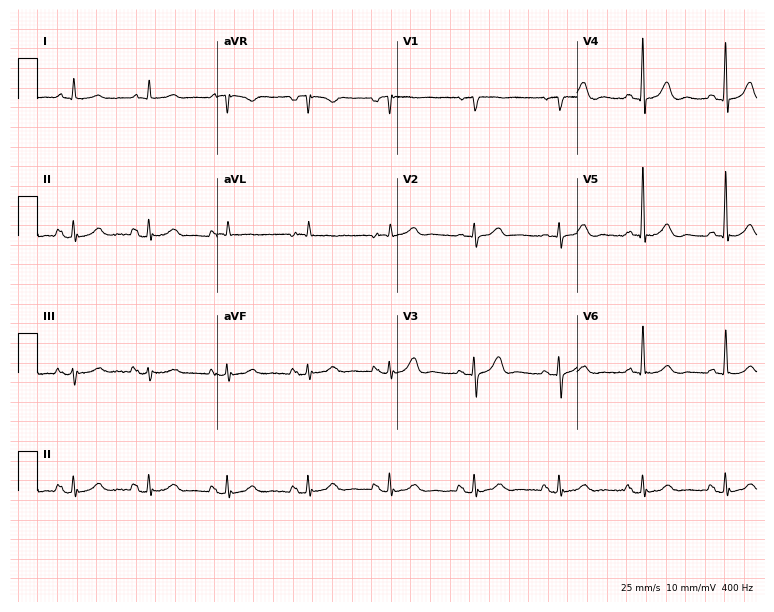
Electrocardiogram (7.3-second recording at 400 Hz), a man, 72 years old. Overall reading on record: normal ECG.